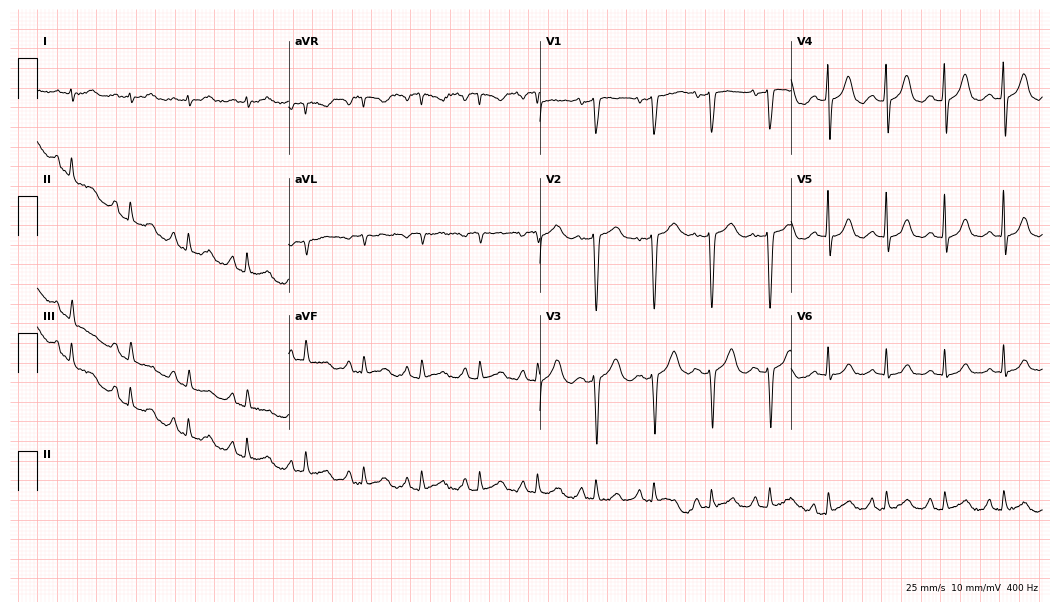
ECG (10.2-second recording at 400 Hz) — a 72-year-old female patient. Screened for six findings — first-degree AV block, right bundle branch block, left bundle branch block, sinus bradycardia, atrial fibrillation, sinus tachycardia — none is recorded. Other findings, if any, are not listed.